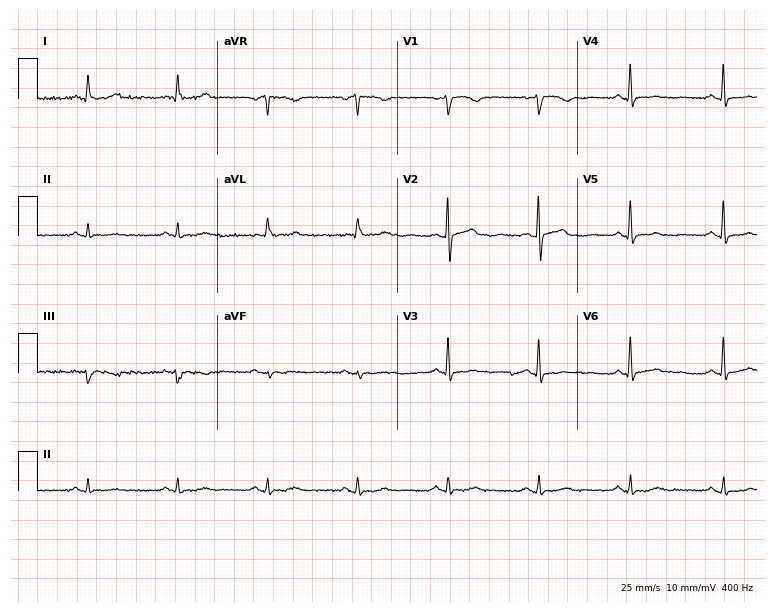
Resting 12-lead electrocardiogram. Patient: a female, 76 years old. None of these six findings is recorded: first-degree AV block, right bundle branch block, left bundle branch block, sinus bradycardia, atrial fibrillation, sinus tachycardia. Other findings, if any, are not listed.